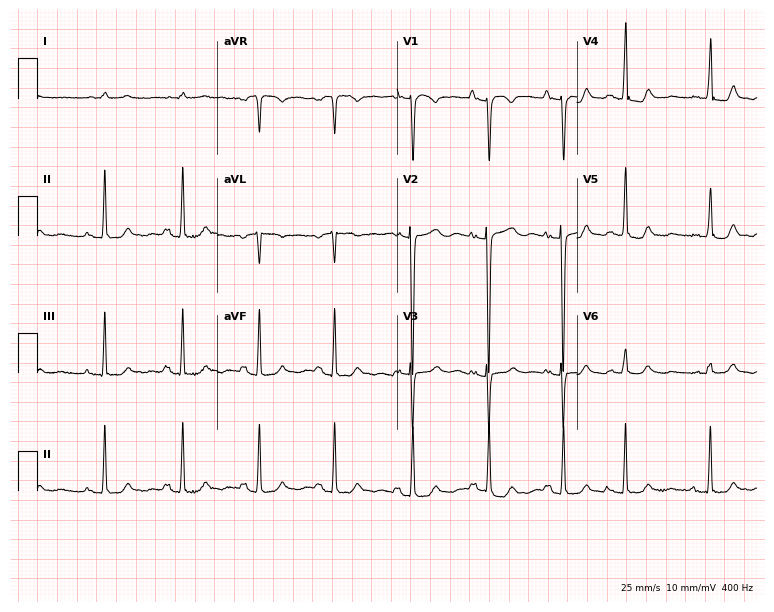
Resting 12-lead electrocardiogram. Patient: a female, 76 years old. Read as a normal ECG.